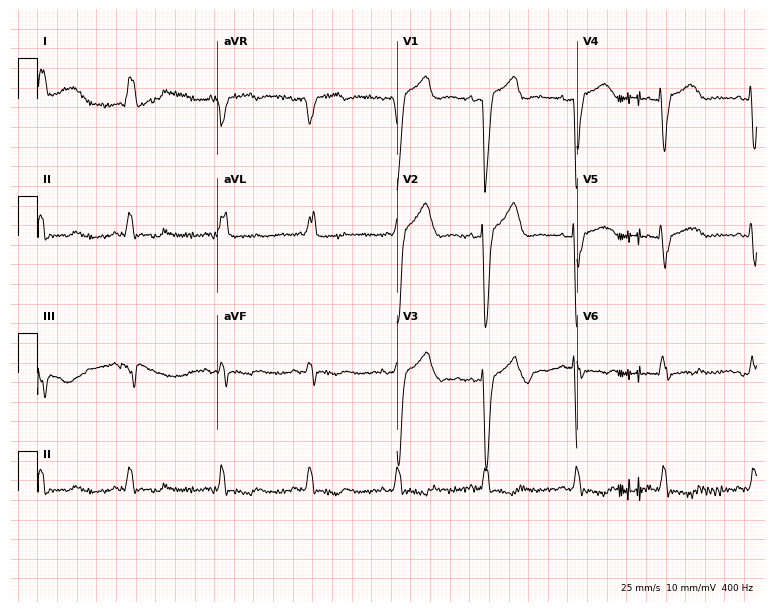
Electrocardiogram (7.3-second recording at 400 Hz), a woman, 73 years old. Interpretation includes left bundle branch block.